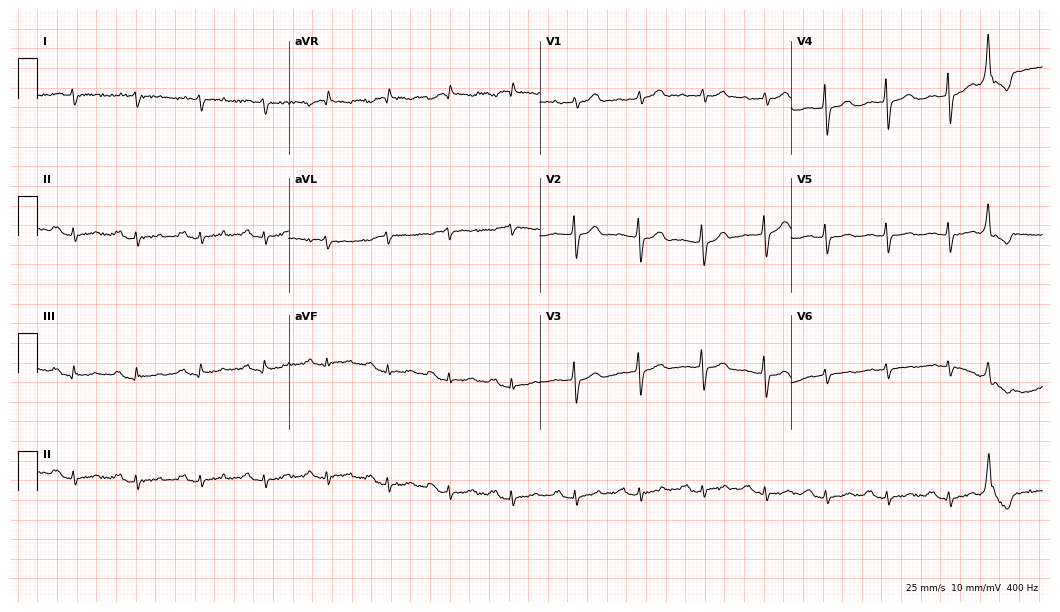
Electrocardiogram (10.2-second recording at 400 Hz), a man, 69 years old. Of the six screened findings (first-degree AV block, right bundle branch block, left bundle branch block, sinus bradycardia, atrial fibrillation, sinus tachycardia), none is recorded. Findings outside these six are not listed.